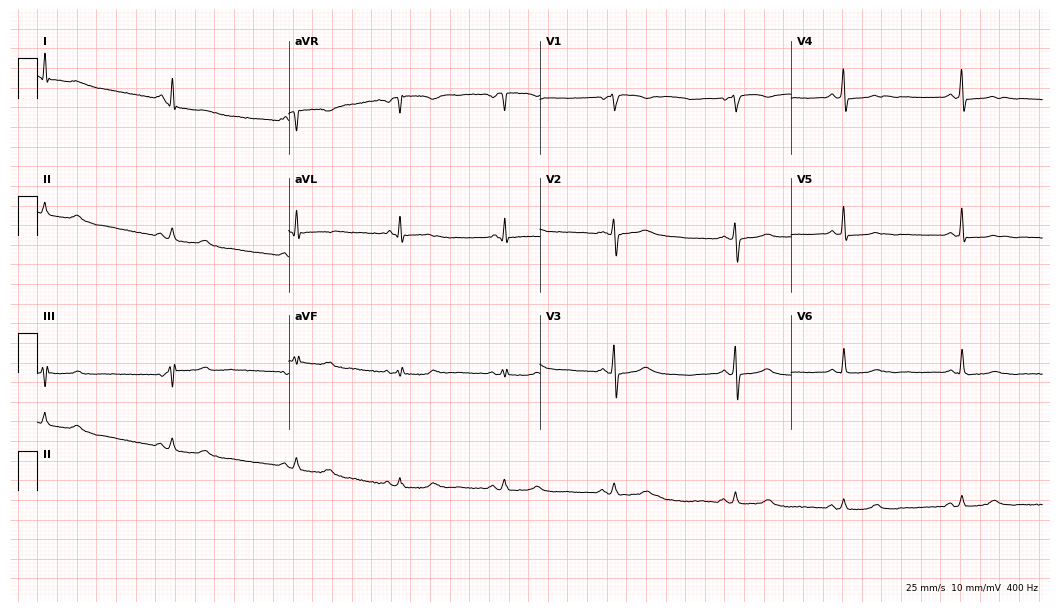
12-lead ECG from a 29-year-old woman. Labelled as a normal ECG.